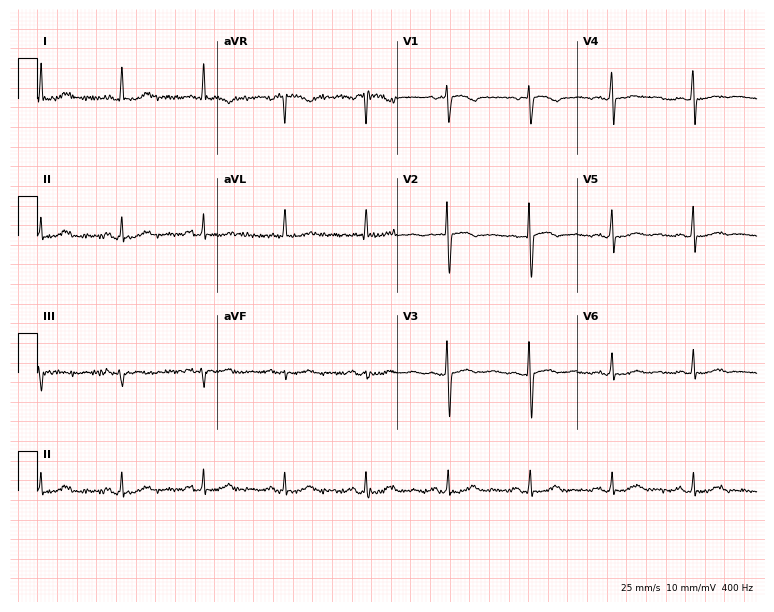
Standard 12-lead ECG recorded from a woman, 51 years old (7.3-second recording at 400 Hz). Read as a normal ECG.